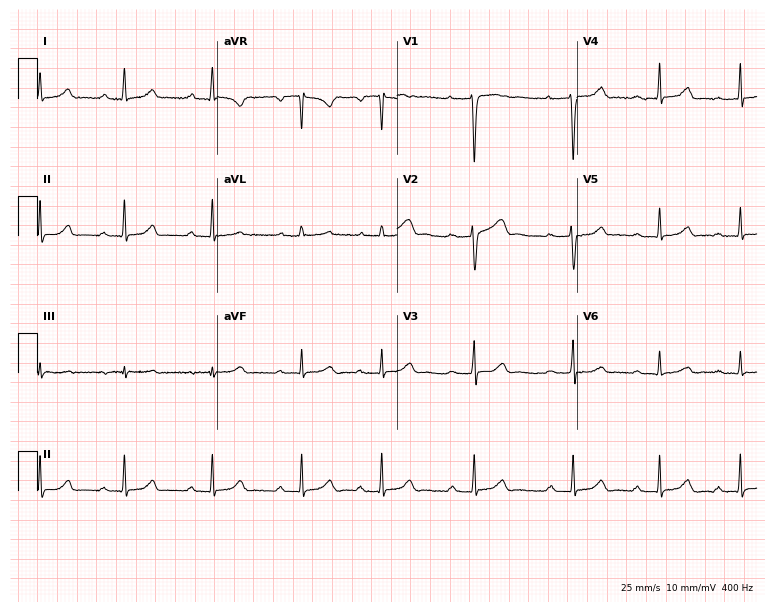
12-lead ECG from a 26-year-old female patient (7.3-second recording at 400 Hz). Shows first-degree AV block.